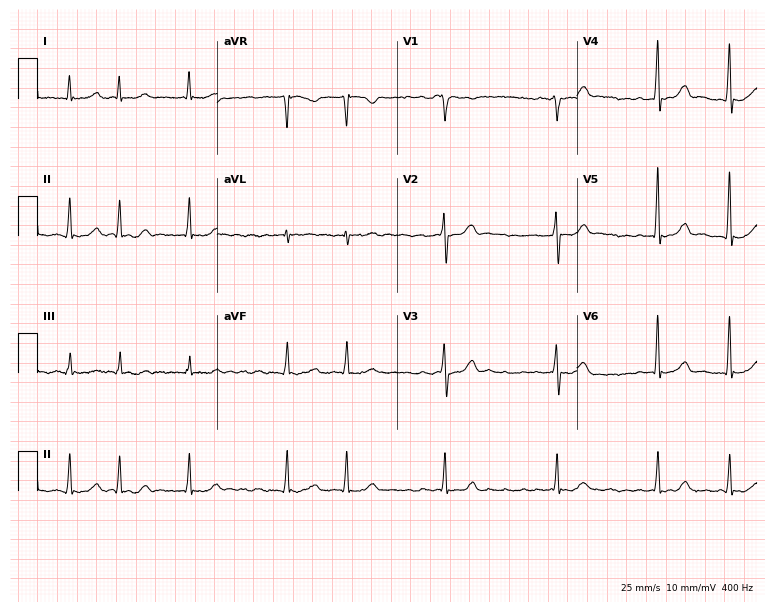
12-lead ECG from a man, 74 years old. Shows atrial fibrillation.